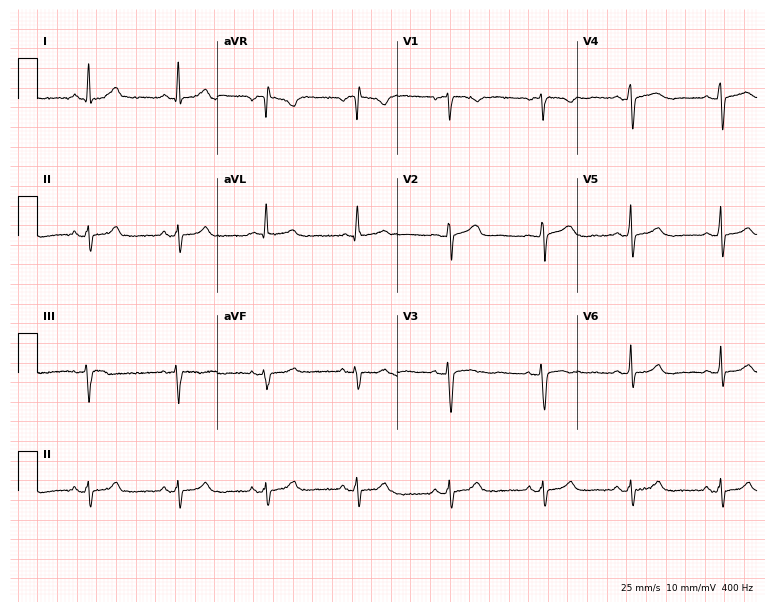
Resting 12-lead electrocardiogram (7.3-second recording at 400 Hz). Patient: a female, 35 years old. Read as a normal ECG.